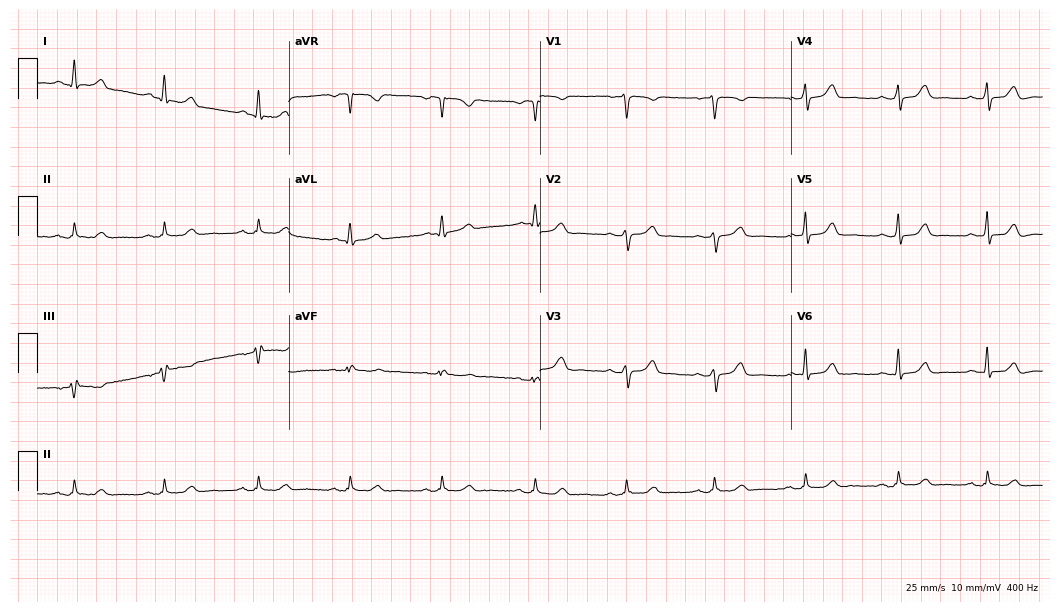
12-lead ECG from a 51-year-old woman. Labelled as a normal ECG.